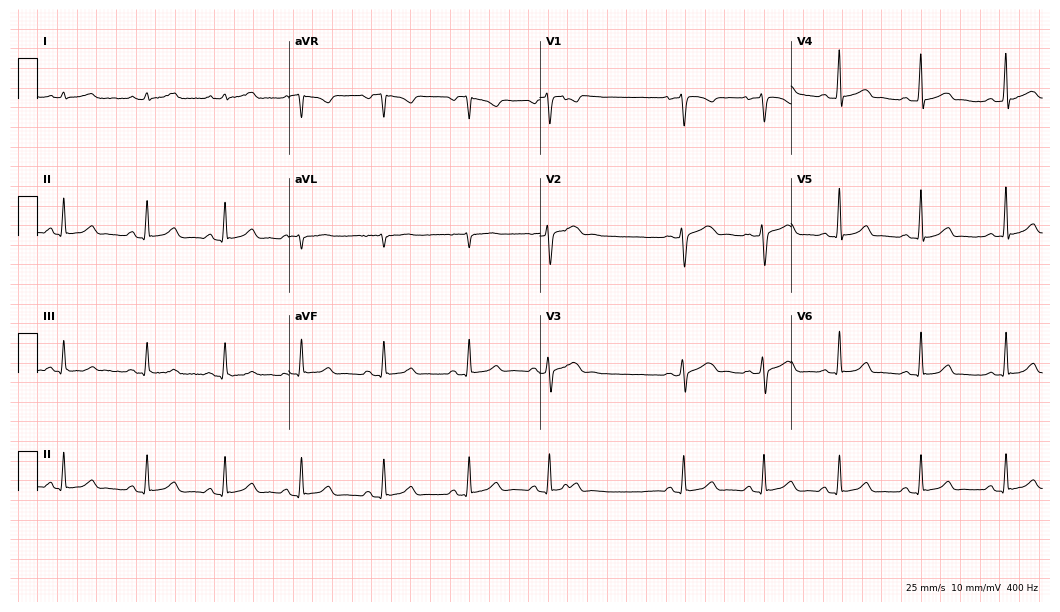
12-lead ECG from a female patient, 20 years old. Screened for six findings — first-degree AV block, right bundle branch block, left bundle branch block, sinus bradycardia, atrial fibrillation, sinus tachycardia — none is recorded. Only these six findings were labelled.